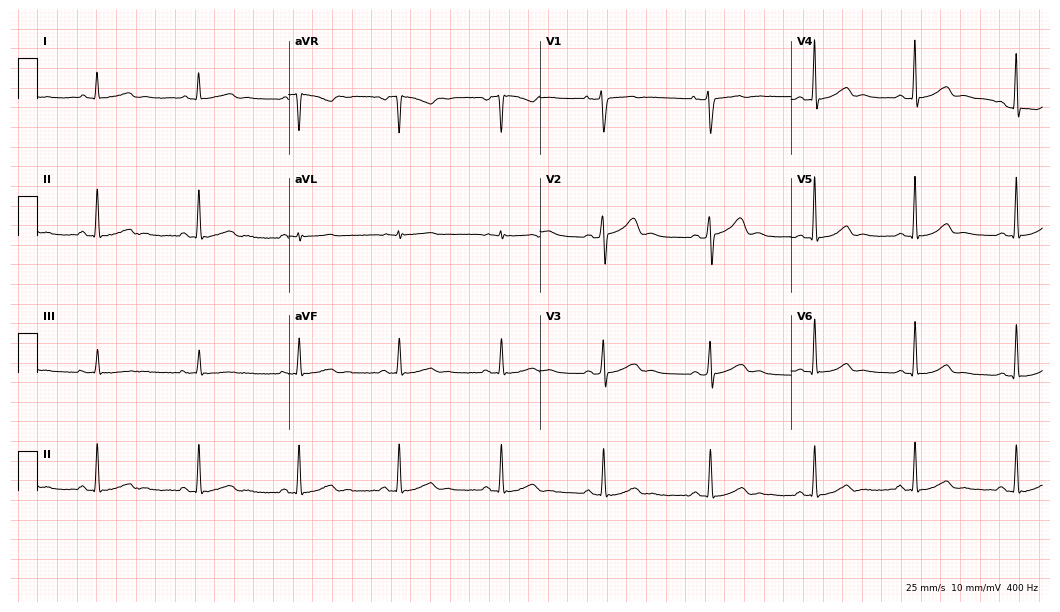
Electrocardiogram, a woman, 47 years old. Overall reading on record: normal ECG.